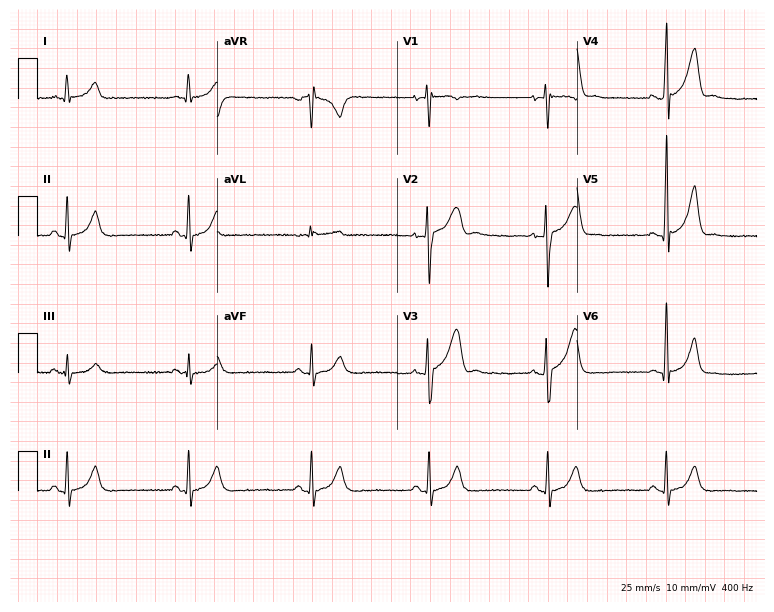
Resting 12-lead electrocardiogram (7.3-second recording at 400 Hz). Patient: a 20-year-old male. None of these six findings is recorded: first-degree AV block, right bundle branch block, left bundle branch block, sinus bradycardia, atrial fibrillation, sinus tachycardia.